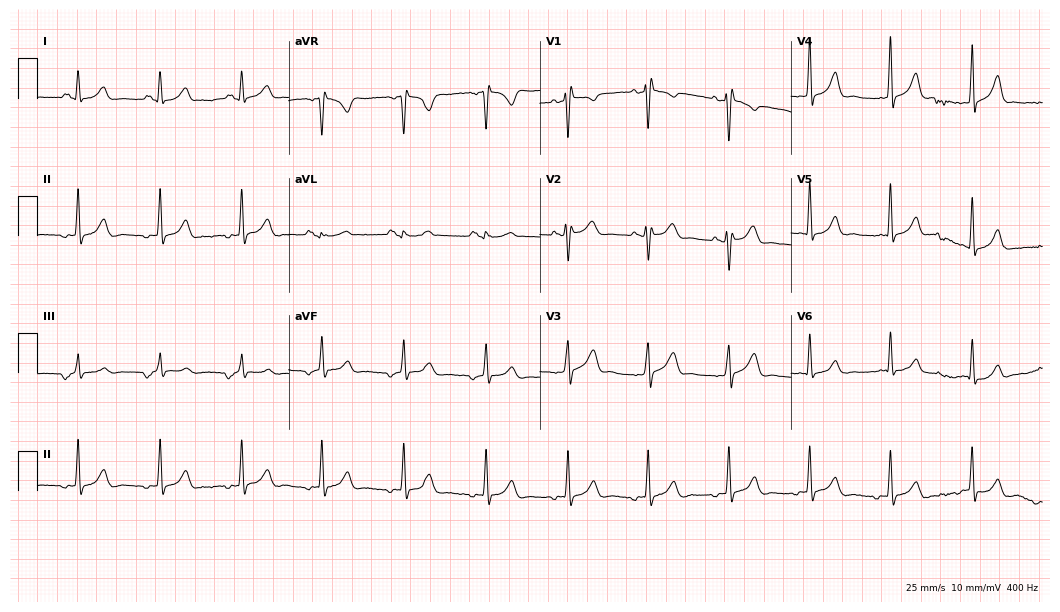
Electrocardiogram (10.2-second recording at 400 Hz), a woman, 31 years old. Of the six screened findings (first-degree AV block, right bundle branch block (RBBB), left bundle branch block (LBBB), sinus bradycardia, atrial fibrillation (AF), sinus tachycardia), none is recorded. Findings outside these six are not listed.